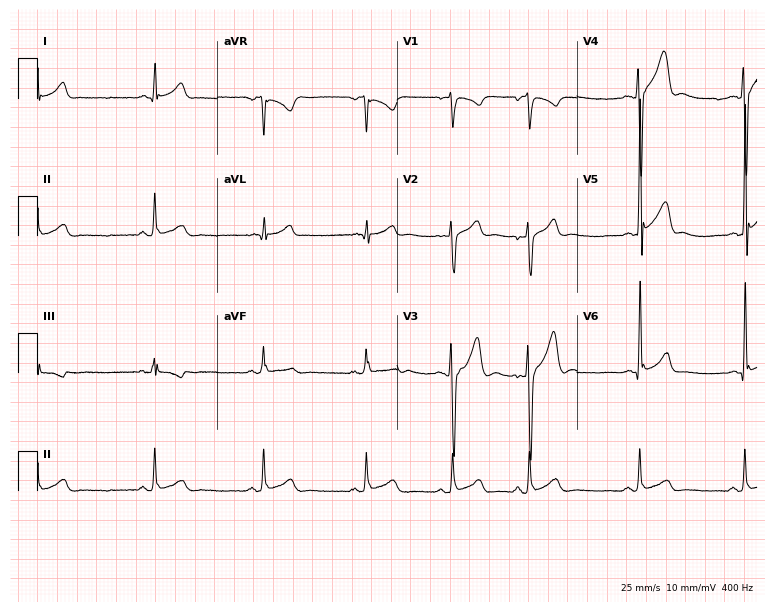
Electrocardiogram, an 18-year-old man. Of the six screened findings (first-degree AV block, right bundle branch block, left bundle branch block, sinus bradycardia, atrial fibrillation, sinus tachycardia), none is recorded.